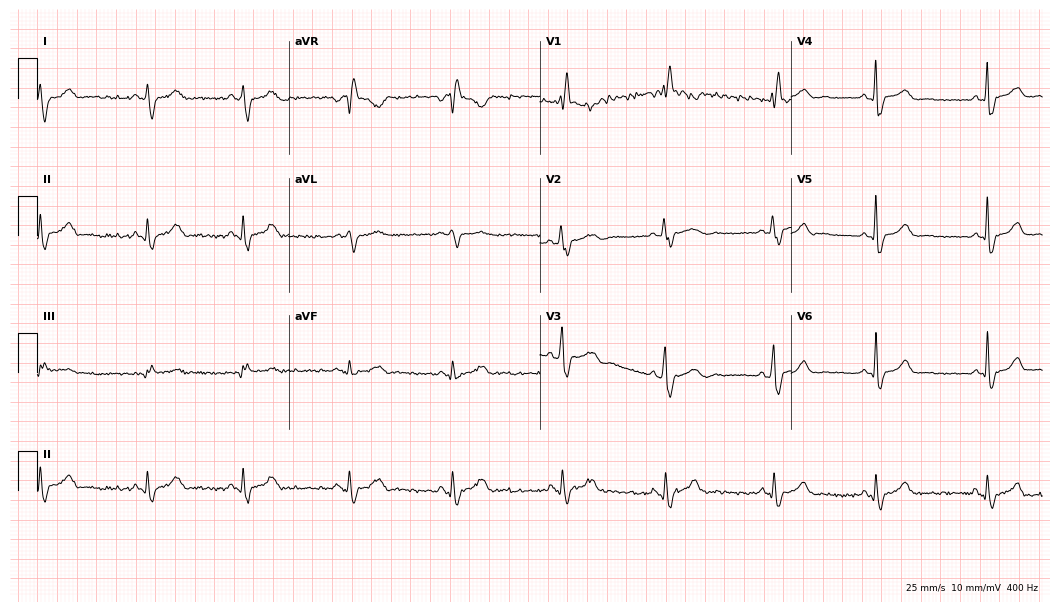
12-lead ECG from a female, 32 years old. No first-degree AV block, right bundle branch block, left bundle branch block, sinus bradycardia, atrial fibrillation or sinus tachycardia recorded for this tracing. Other findings, if any, are not listed.